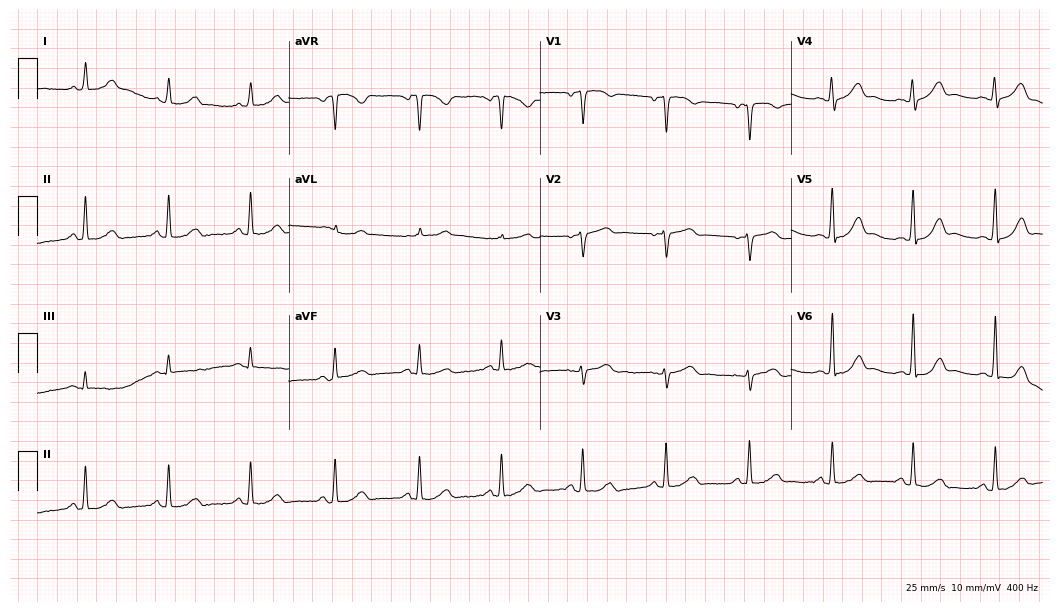
ECG (10.2-second recording at 400 Hz) — a female patient, 64 years old. Labelled as a normal ECG.